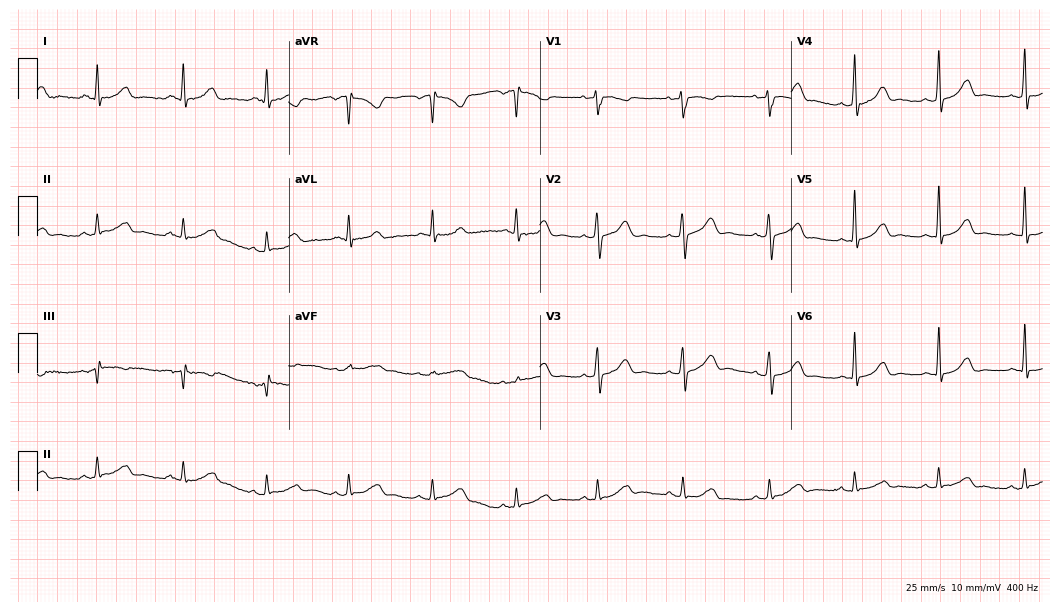
Standard 12-lead ECG recorded from a woman, 53 years old. Read as a normal ECG.